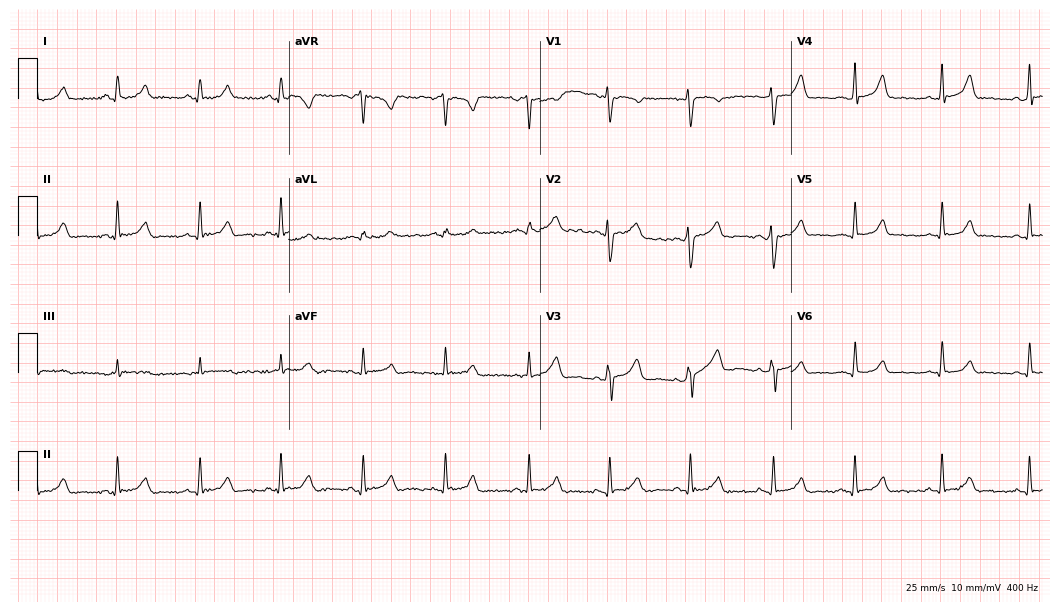
12-lead ECG from a female patient, 27 years old (10.2-second recording at 400 Hz). Recorded interpretation: within normal limits.